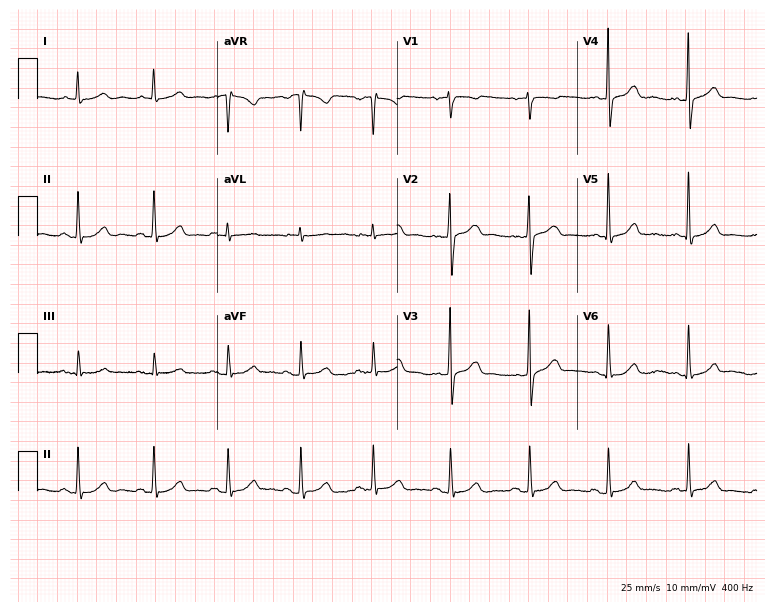
Standard 12-lead ECG recorded from a woman, 53 years old (7.3-second recording at 400 Hz). Read as a normal ECG.